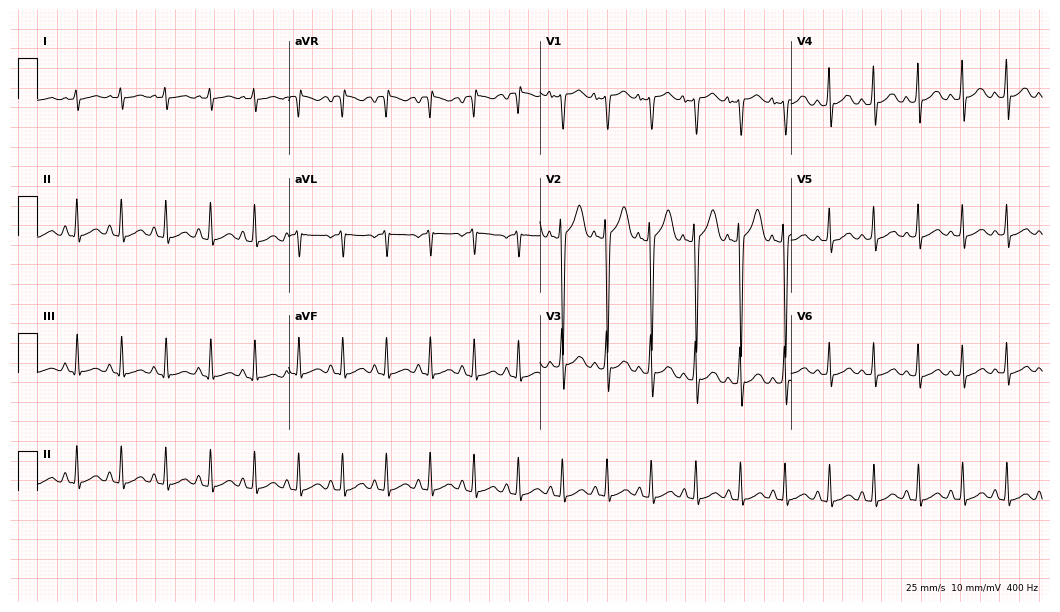
12-lead ECG (10.2-second recording at 400 Hz) from a male patient, 19 years old. Findings include sinus tachycardia (a sinus rate of 100 beats per minute or more).